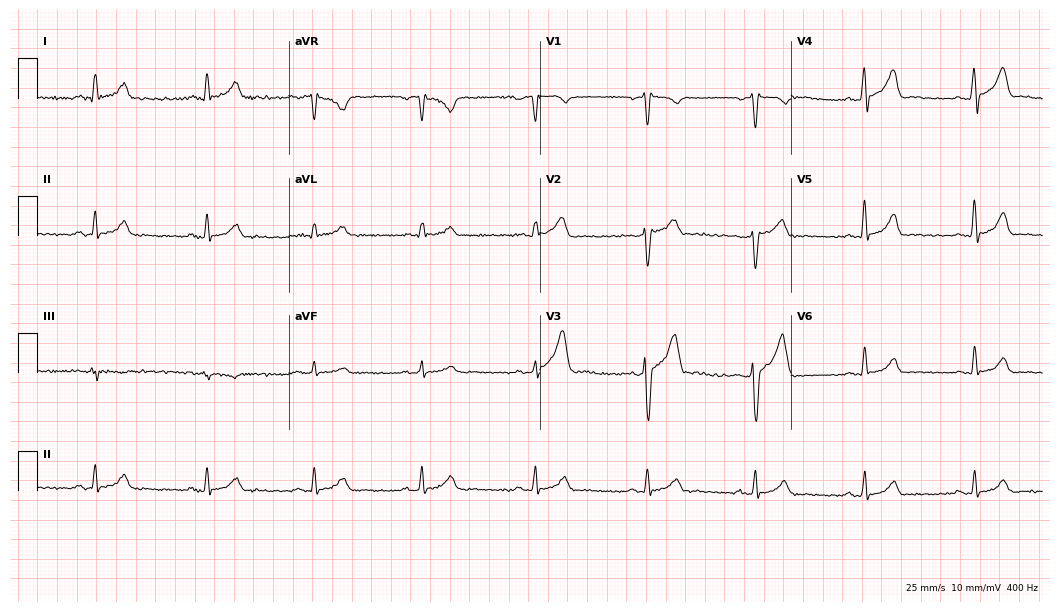
12-lead ECG from a 44-year-old male. Labelled as a normal ECG.